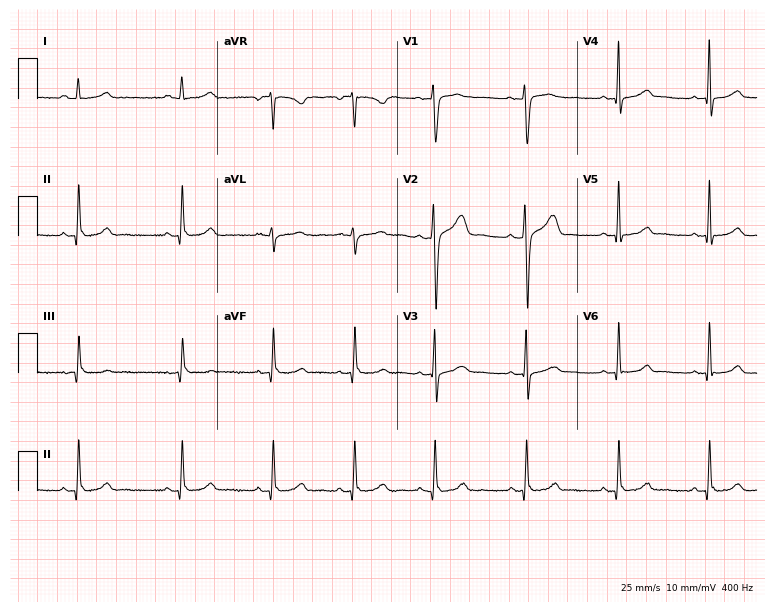
12-lead ECG from a 22-year-old female. No first-degree AV block, right bundle branch block, left bundle branch block, sinus bradycardia, atrial fibrillation or sinus tachycardia recorded for this tracing.